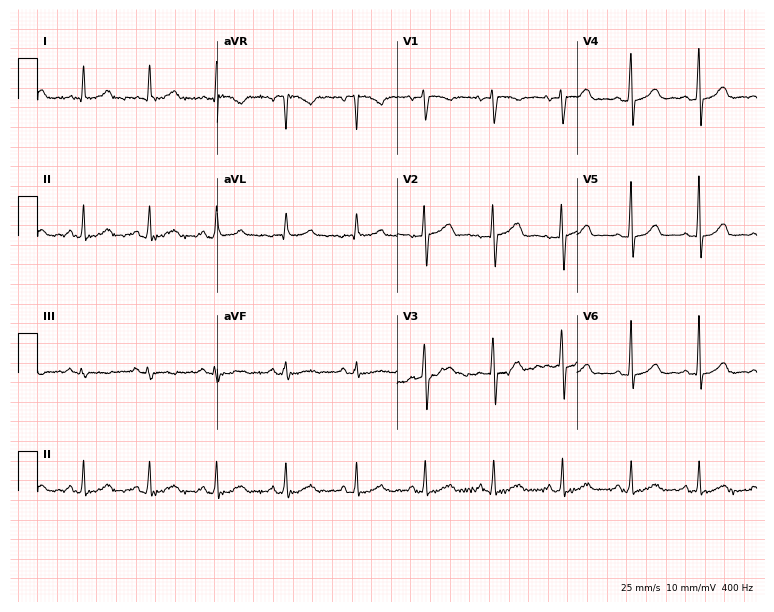
Standard 12-lead ECG recorded from a female patient, 39 years old. Read as a normal ECG.